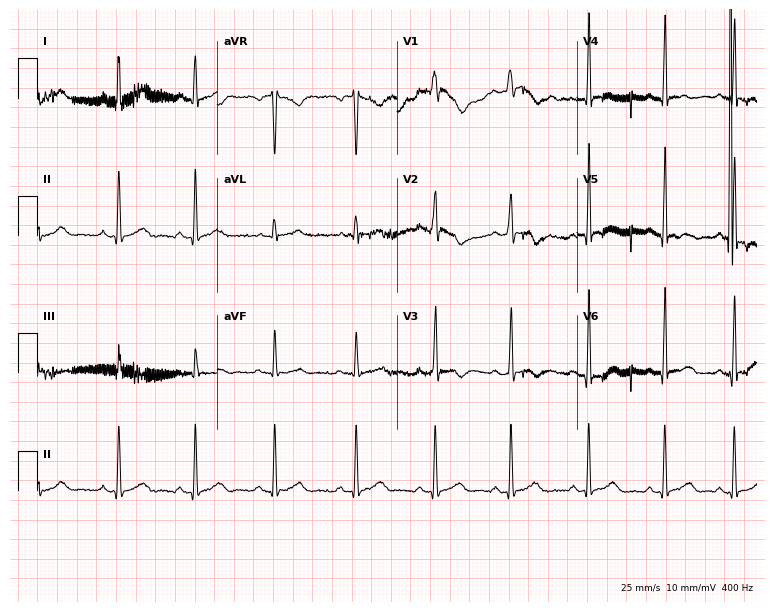
Standard 12-lead ECG recorded from a 27-year-old female (7.3-second recording at 400 Hz). None of these six findings is recorded: first-degree AV block, right bundle branch block, left bundle branch block, sinus bradycardia, atrial fibrillation, sinus tachycardia. Other findings, if any, are not listed.